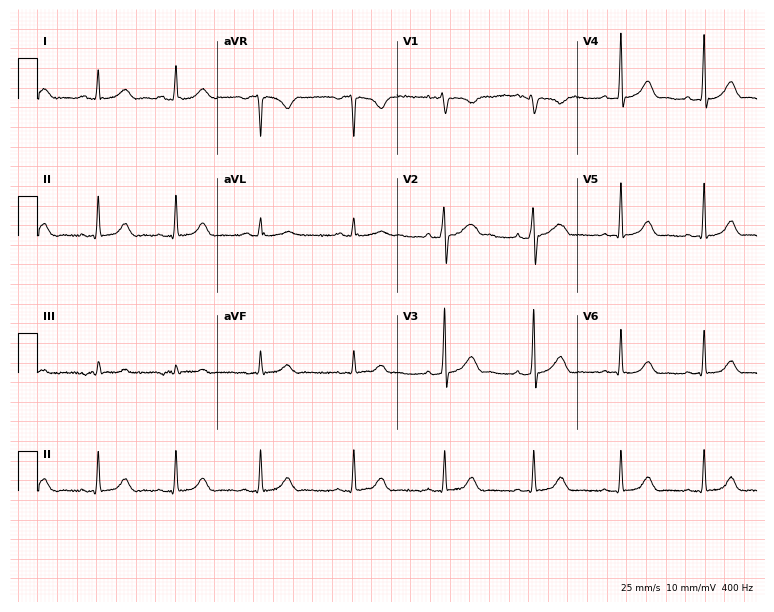
12-lead ECG (7.3-second recording at 400 Hz) from a female patient, 25 years old. Labelled as a normal ECG.